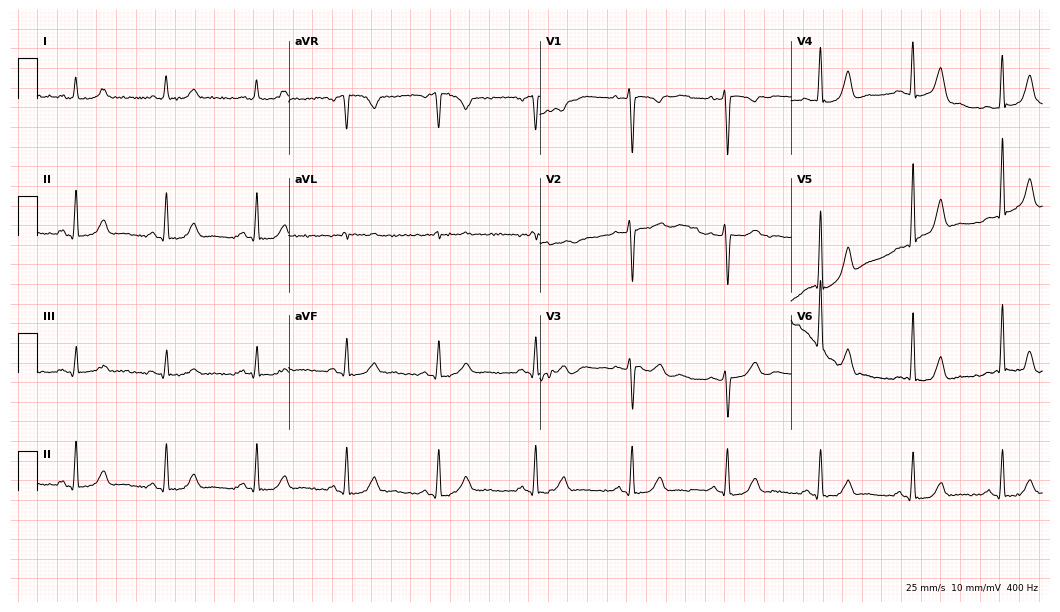
ECG — a 26-year-old woman. Screened for six findings — first-degree AV block, right bundle branch block, left bundle branch block, sinus bradycardia, atrial fibrillation, sinus tachycardia — none is recorded. Findings outside these six are not listed.